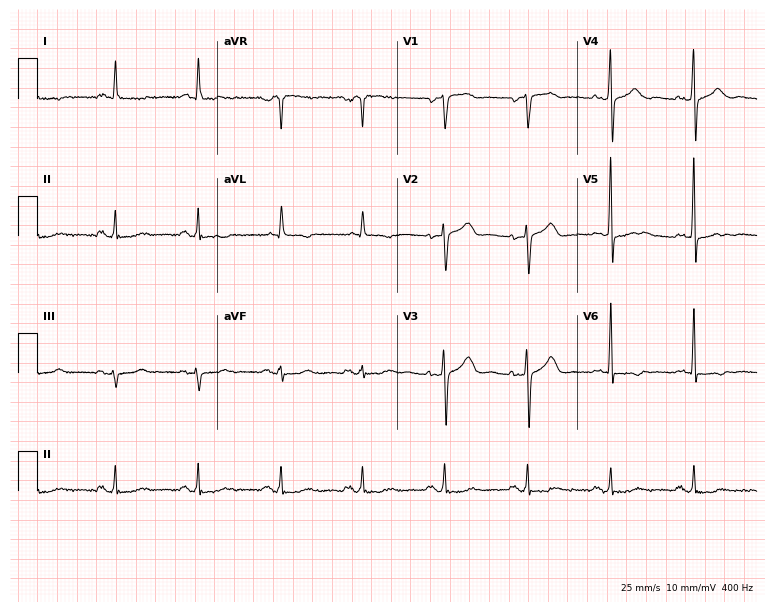
12-lead ECG (7.3-second recording at 400 Hz) from a 67-year-old female patient. Screened for six findings — first-degree AV block, right bundle branch block (RBBB), left bundle branch block (LBBB), sinus bradycardia, atrial fibrillation (AF), sinus tachycardia — none is recorded. Other findings, if any, are not listed.